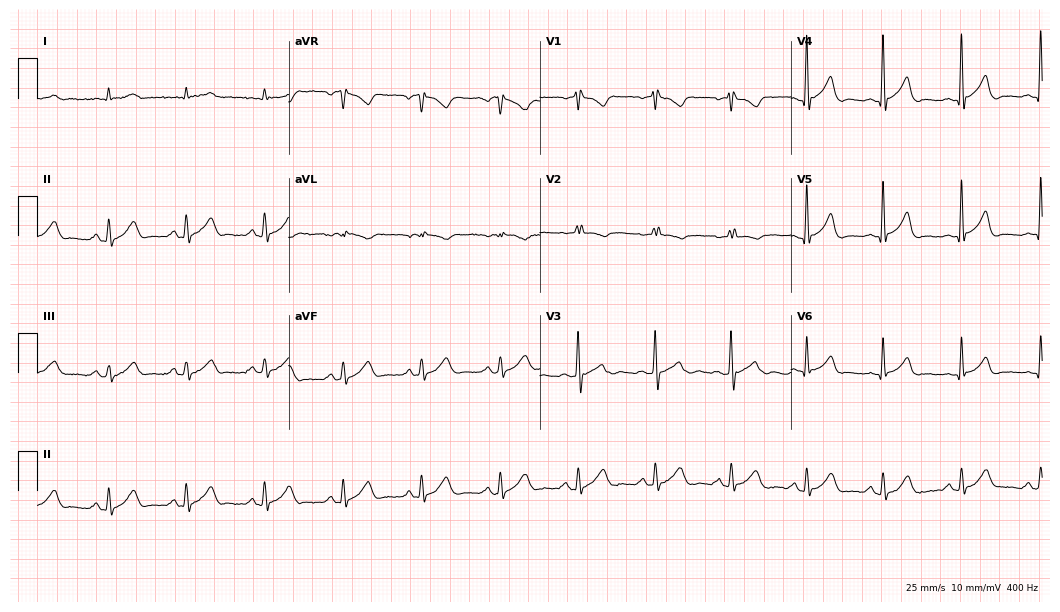
Electrocardiogram (10.2-second recording at 400 Hz), a male, 73 years old. Overall reading on record: normal ECG.